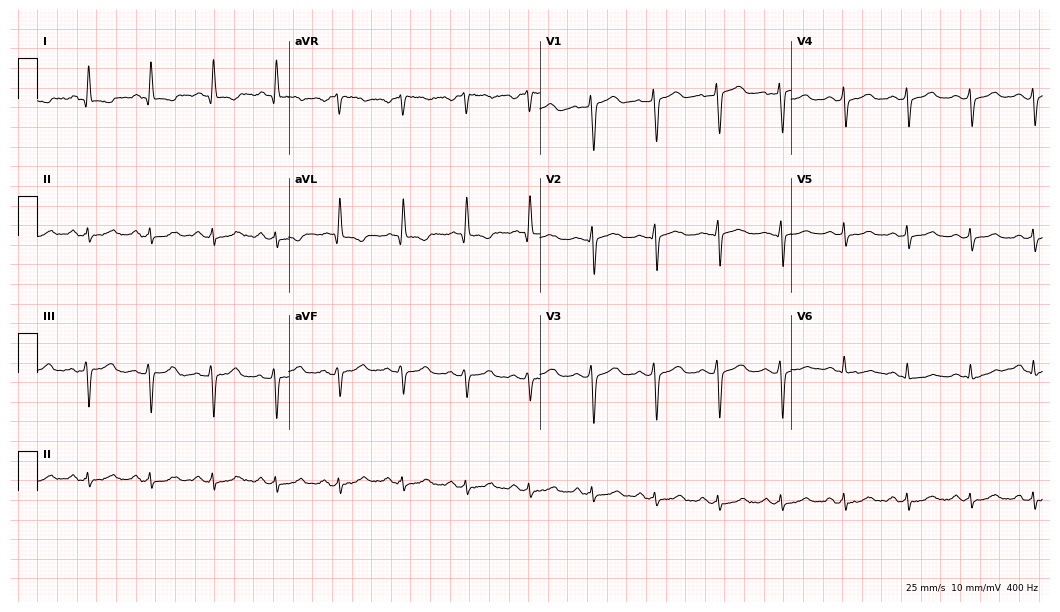
ECG — a male patient, 55 years old. Screened for six findings — first-degree AV block, right bundle branch block (RBBB), left bundle branch block (LBBB), sinus bradycardia, atrial fibrillation (AF), sinus tachycardia — none is recorded.